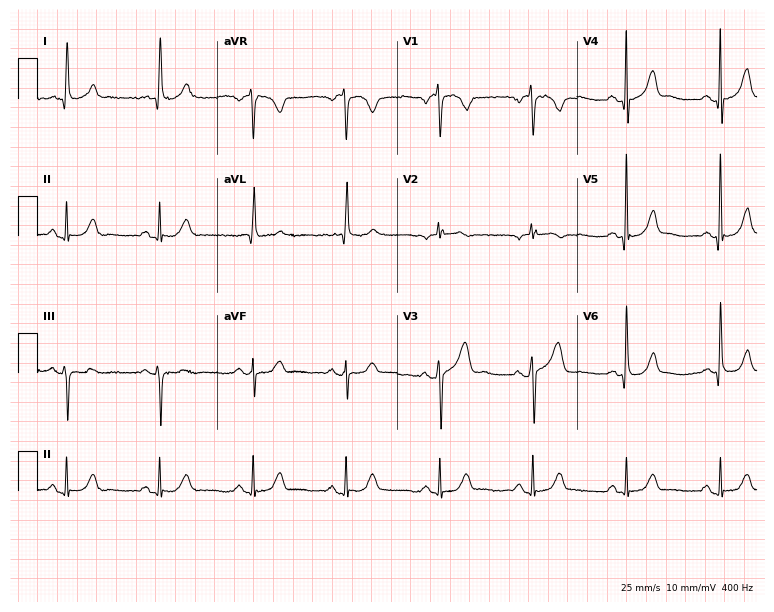
Electrocardiogram (7.3-second recording at 400 Hz), an 84-year-old female. Of the six screened findings (first-degree AV block, right bundle branch block (RBBB), left bundle branch block (LBBB), sinus bradycardia, atrial fibrillation (AF), sinus tachycardia), none is recorded. Findings outside these six are not listed.